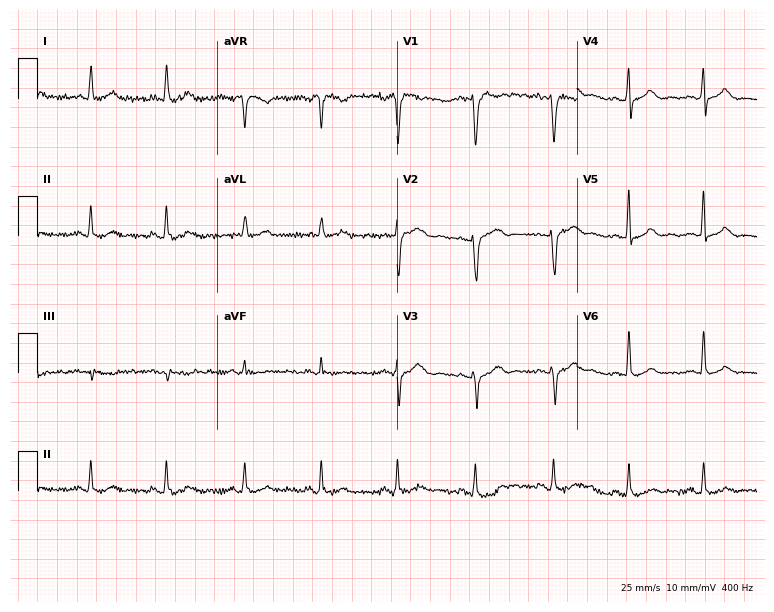
ECG — a 48-year-old female patient. Labelled as a normal ECG.